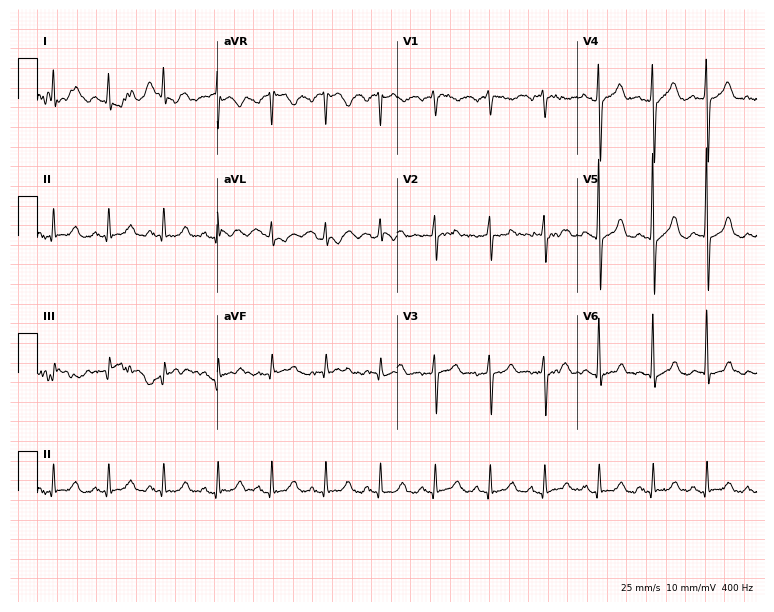
Standard 12-lead ECG recorded from a female, 56 years old (7.3-second recording at 400 Hz). The tracing shows sinus tachycardia (a sinus rate of 100 beats per minute or more).